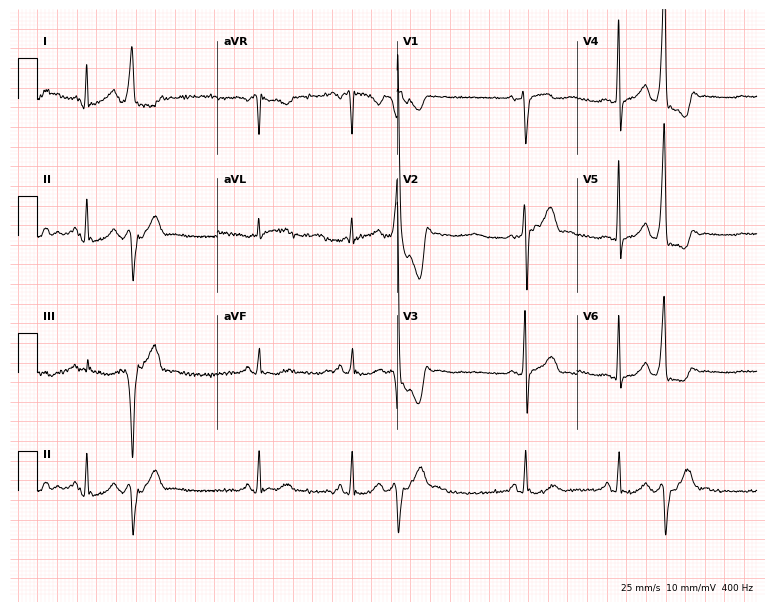
Standard 12-lead ECG recorded from a man, 54 years old. None of these six findings is recorded: first-degree AV block, right bundle branch block (RBBB), left bundle branch block (LBBB), sinus bradycardia, atrial fibrillation (AF), sinus tachycardia. Only these six findings were labelled.